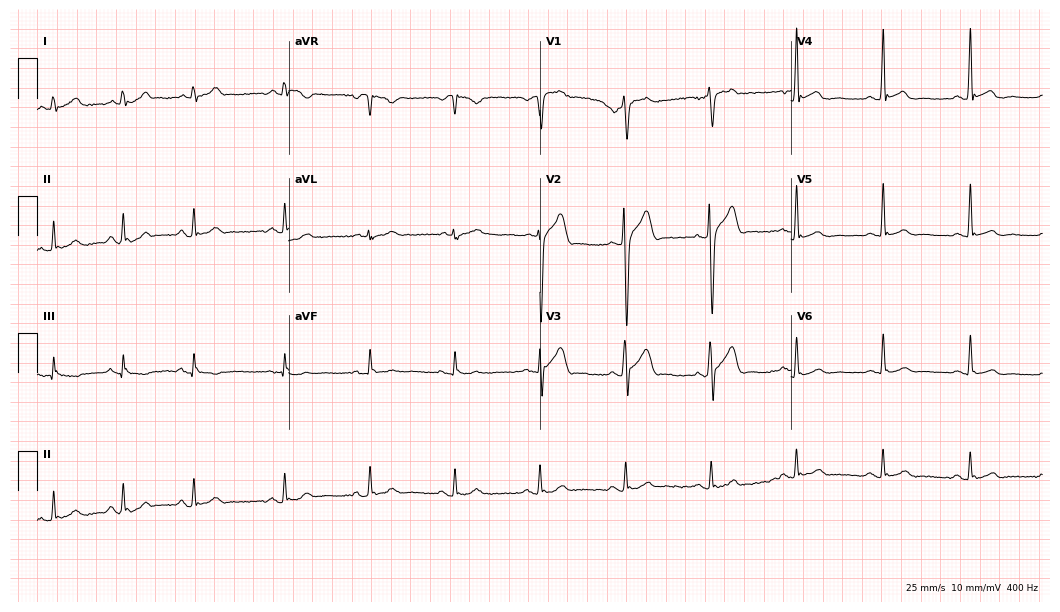
12-lead ECG from a 29-year-old male (10.2-second recording at 400 Hz). No first-degree AV block, right bundle branch block, left bundle branch block, sinus bradycardia, atrial fibrillation or sinus tachycardia recorded for this tracing. Other findings, if any, are not listed.